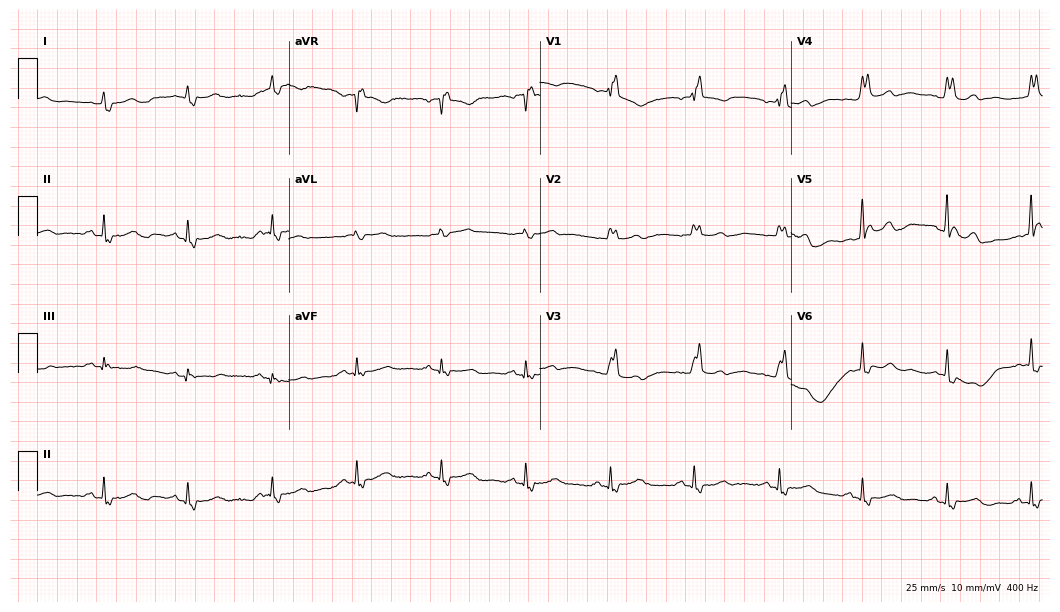
Standard 12-lead ECG recorded from a woman, 85 years old (10.2-second recording at 400 Hz). The tracing shows right bundle branch block.